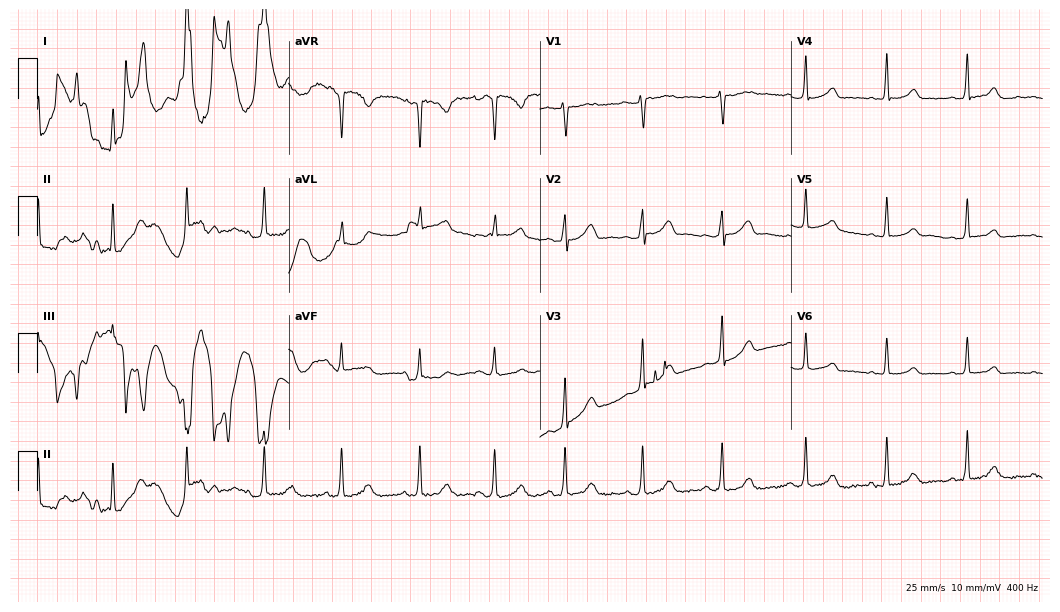
12-lead ECG from a female, 29 years old. No first-degree AV block, right bundle branch block, left bundle branch block, sinus bradycardia, atrial fibrillation or sinus tachycardia recorded for this tracing.